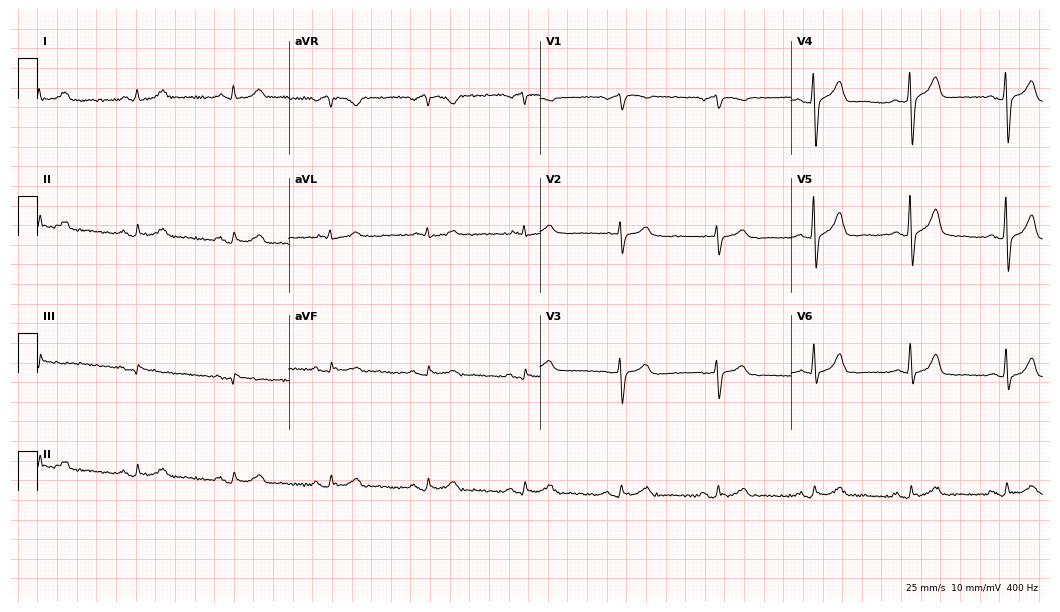
Electrocardiogram (10.2-second recording at 400 Hz), a man, 80 years old. Overall reading on record: normal ECG.